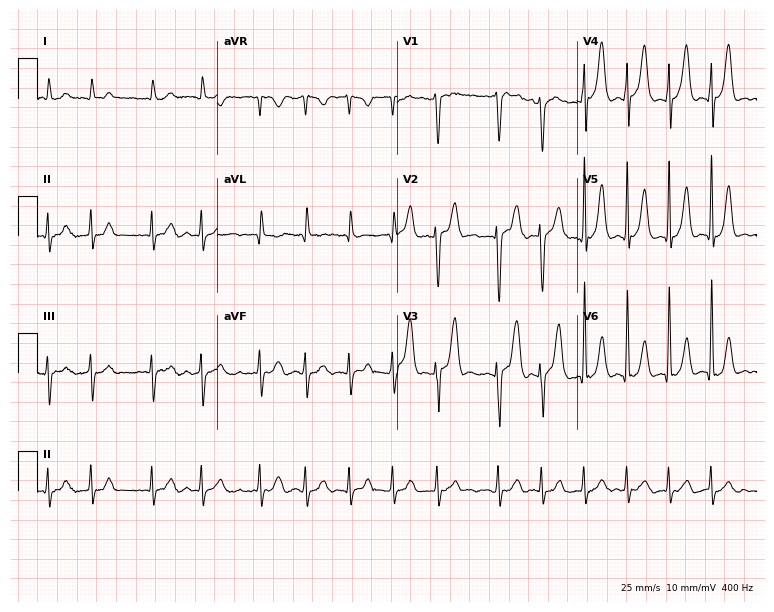
ECG (7.3-second recording at 400 Hz) — a male patient, 76 years old. Findings include atrial fibrillation, sinus tachycardia (a sinus rate of 100 beats per minute or more).